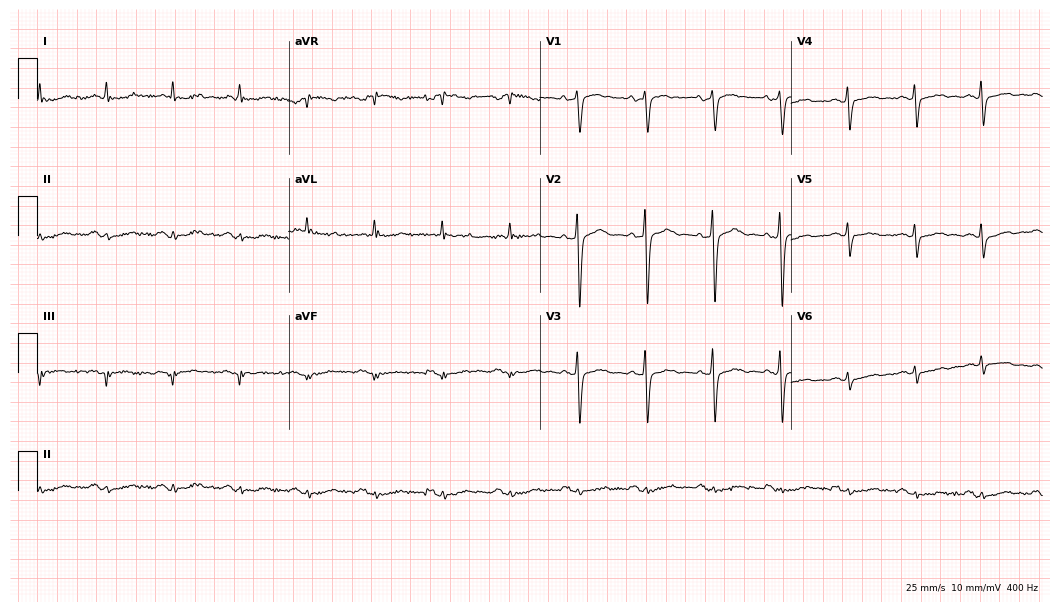
ECG (10.2-second recording at 400 Hz) — a woman, 80 years old. Screened for six findings — first-degree AV block, right bundle branch block, left bundle branch block, sinus bradycardia, atrial fibrillation, sinus tachycardia — none is recorded. Findings outside these six are not listed.